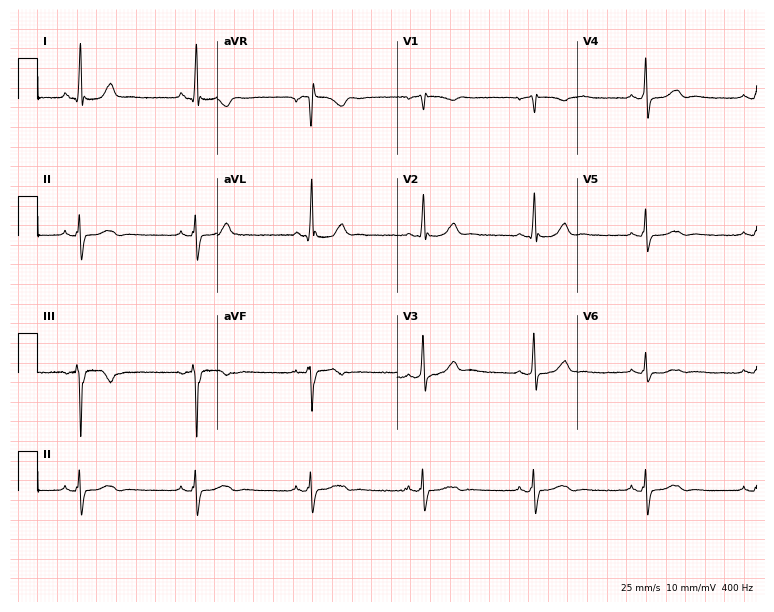
ECG (7.3-second recording at 400 Hz) — a female, 69 years old. Screened for six findings — first-degree AV block, right bundle branch block (RBBB), left bundle branch block (LBBB), sinus bradycardia, atrial fibrillation (AF), sinus tachycardia — none is recorded.